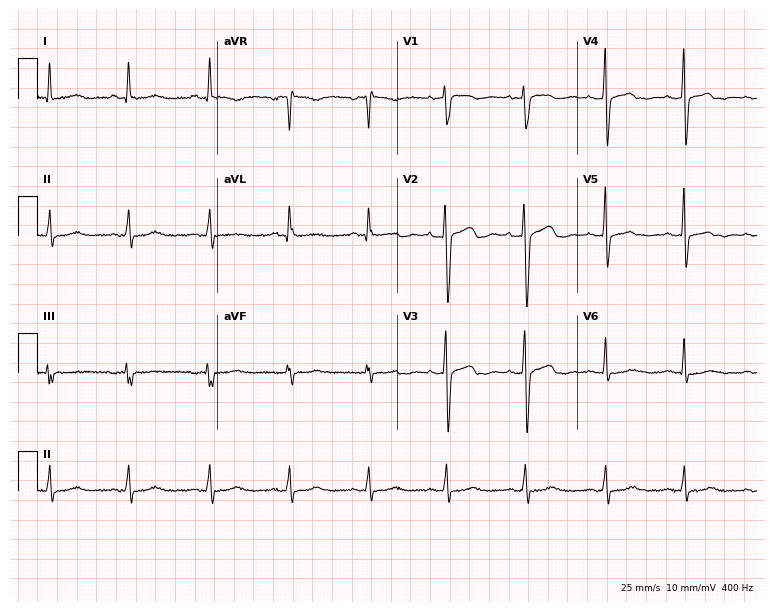
12-lead ECG from a 53-year-old female. Screened for six findings — first-degree AV block, right bundle branch block, left bundle branch block, sinus bradycardia, atrial fibrillation, sinus tachycardia — none is recorded.